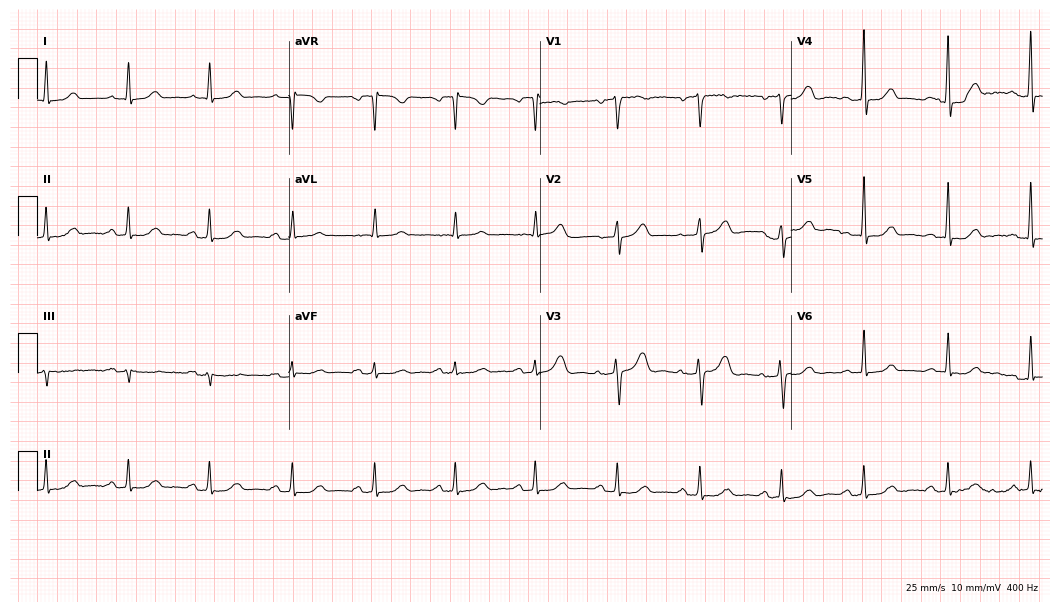
Standard 12-lead ECG recorded from a female, 69 years old. Read as a normal ECG.